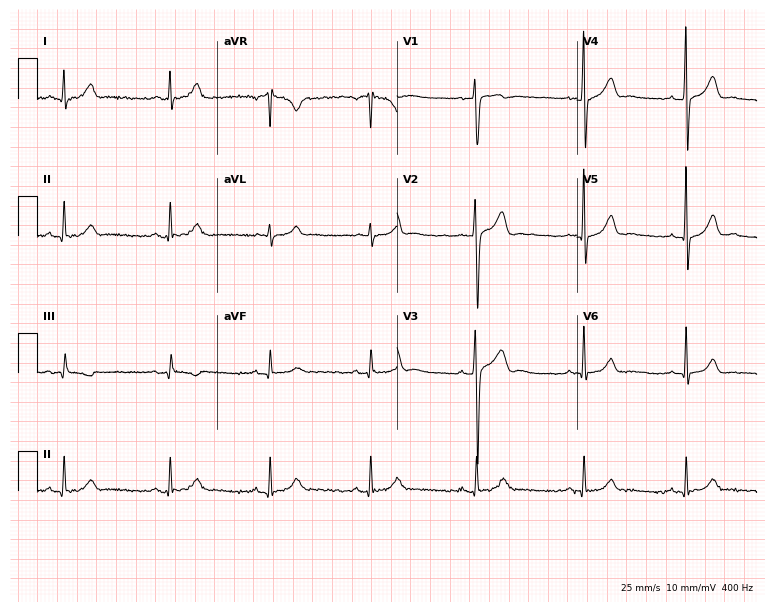
Resting 12-lead electrocardiogram (7.3-second recording at 400 Hz). Patient: a 42-year-old male. None of these six findings is recorded: first-degree AV block, right bundle branch block, left bundle branch block, sinus bradycardia, atrial fibrillation, sinus tachycardia. Findings outside these six are not listed.